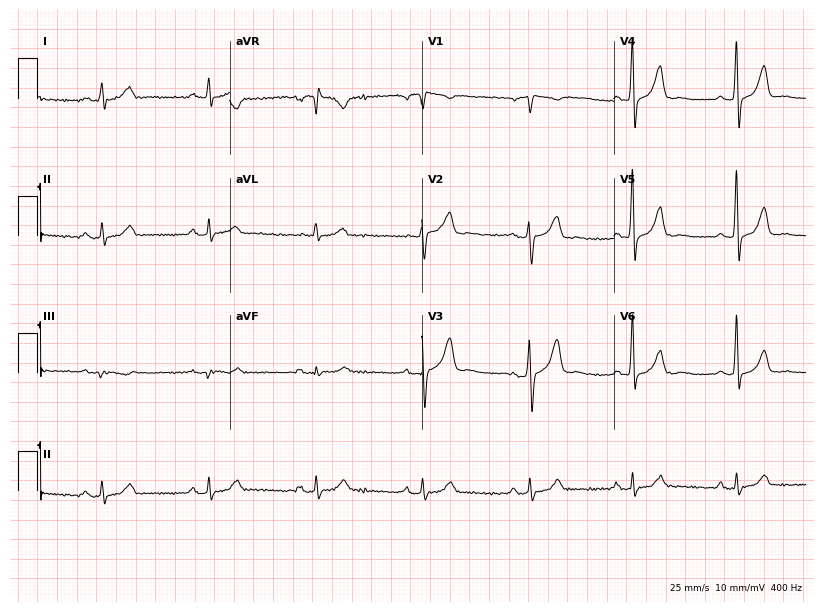
Resting 12-lead electrocardiogram (7.8-second recording at 400 Hz). Patient: a 60-year-old male. Read as a normal ECG.